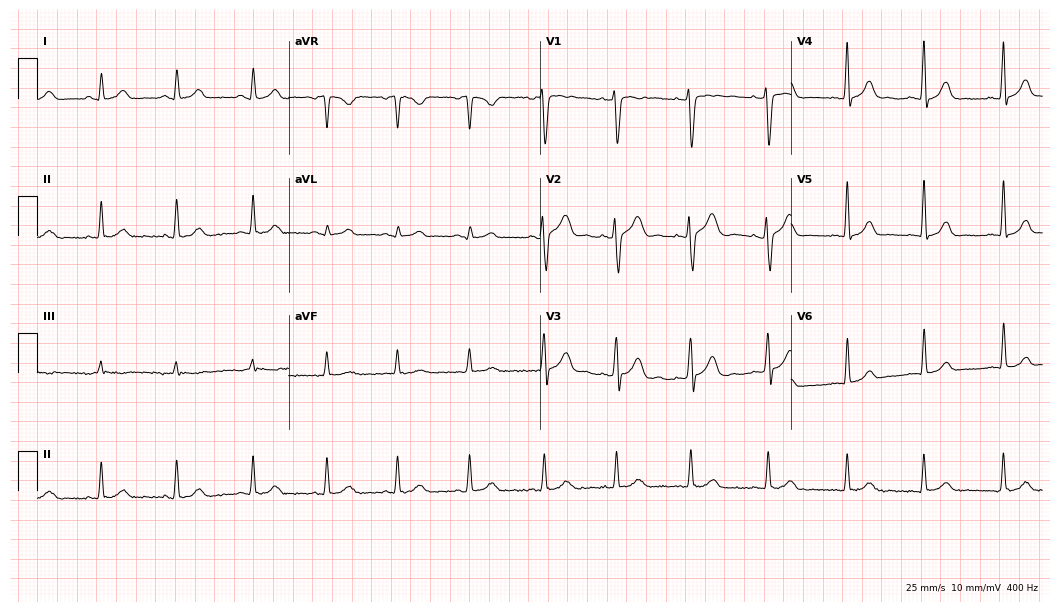
12-lead ECG from a female, 31 years old. Recorded interpretation: within normal limits.